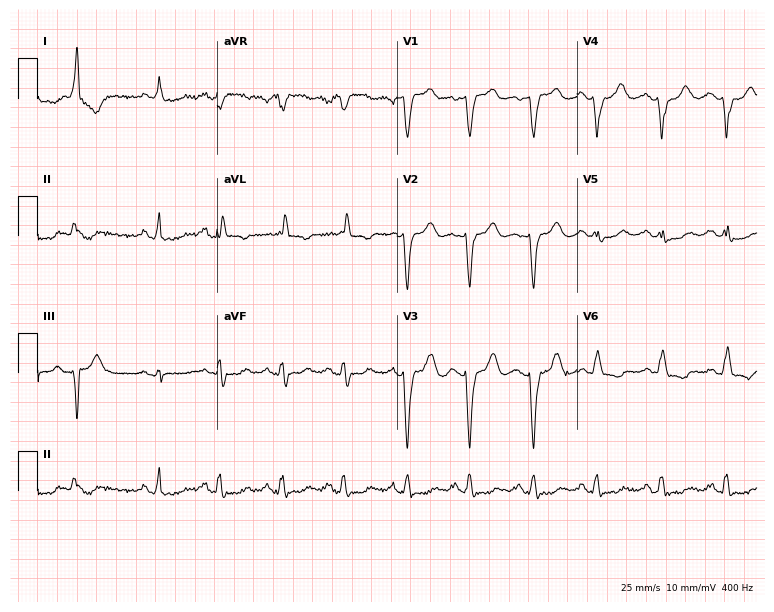
Standard 12-lead ECG recorded from a female, 77 years old (7.3-second recording at 400 Hz). The tracing shows left bundle branch block.